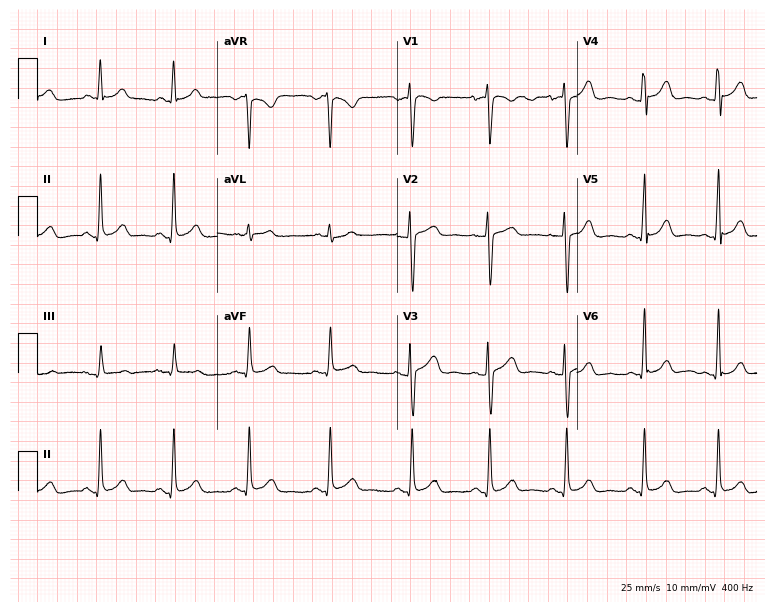
ECG — a 29-year-old female. Labelled as a normal ECG.